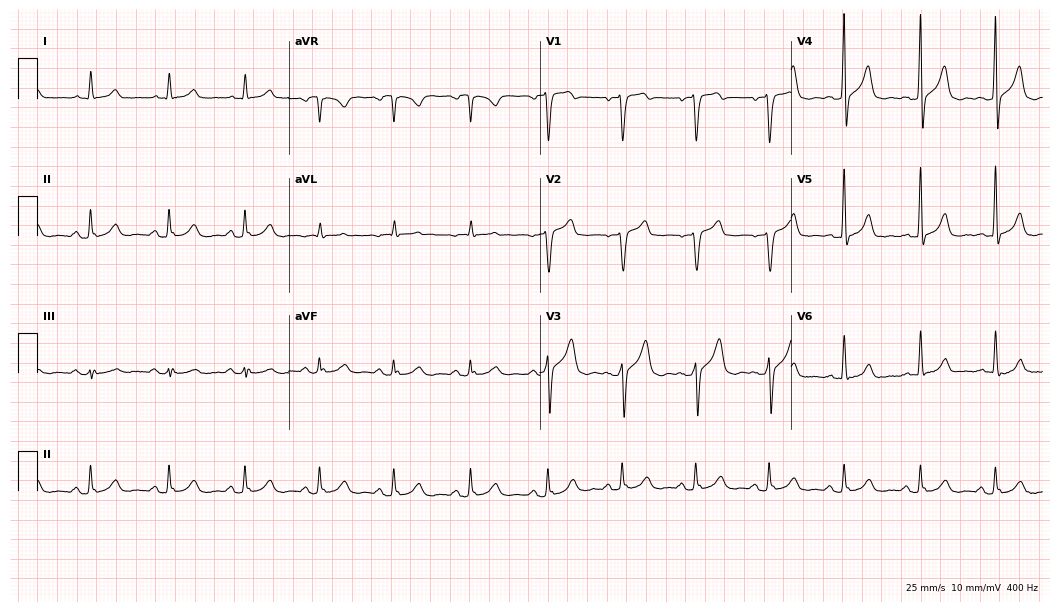
12-lead ECG from a male patient, 76 years old. Recorded interpretation: within normal limits.